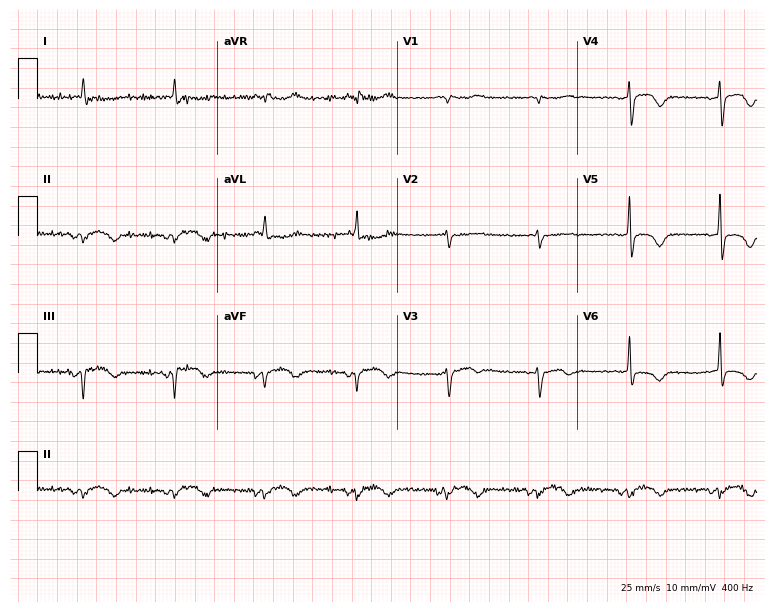
Electrocardiogram (7.3-second recording at 400 Hz), a man, 72 years old. Of the six screened findings (first-degree AV block, right bundle branch block, left bundle branch block, sinus bradycardia, atrial fibrillation, sinus tachycardia), none is recorded. Other findings, if any, are not listed.